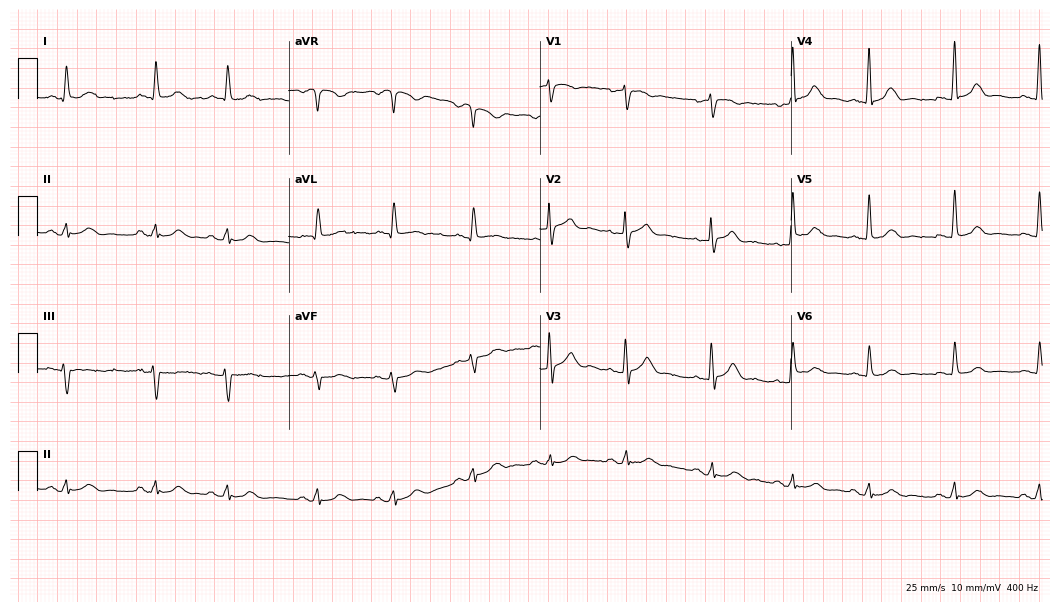
12-lead ECG (10.2-second recording at 400 Hz) from a man, 62 years old. Screened for six findings — first-degree AV block, right bundle branch block (RBBB), left bundle branch block (LBBB), sinus bradycardia, atrial fibrillation (AF), sinus tachycardia — none is recorded. Only these six findings were labelled.